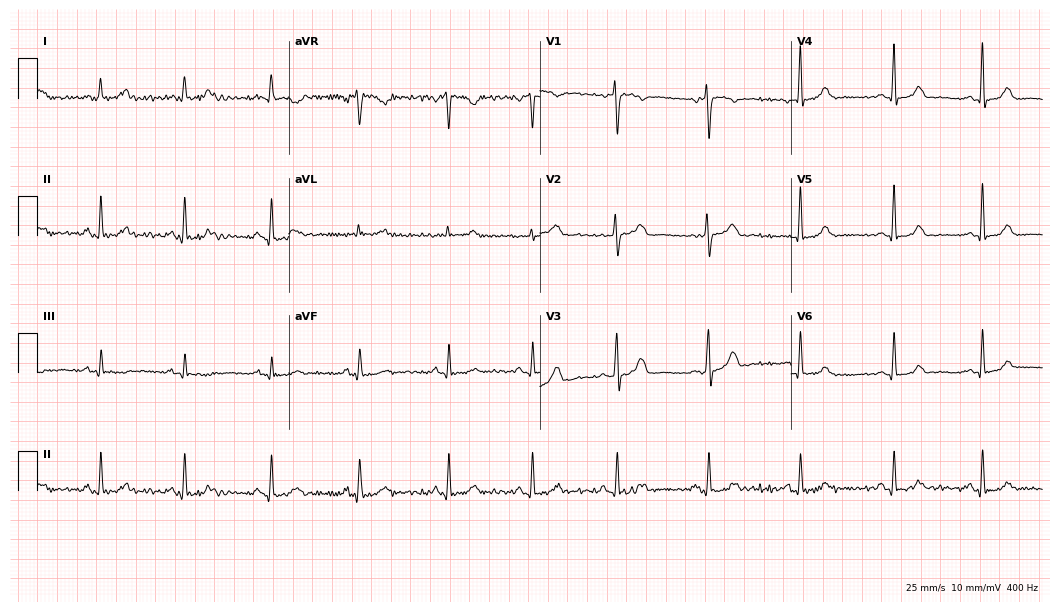
Electrocardiogram (10.2-second recording at 400 Hz), a female patient, 48 years old. Overall reading on record: normal ECG.